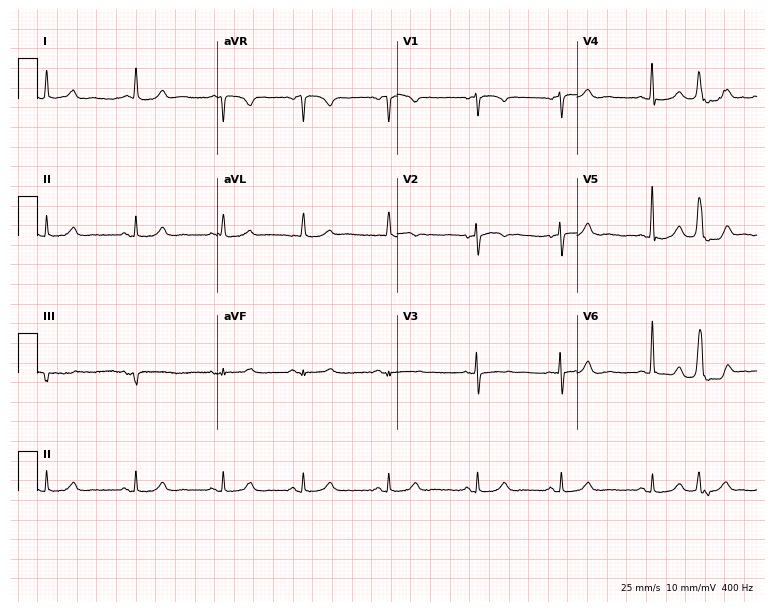
Standard 12-lead ECG recorded from a 76-year-old female patient. None of these six findings is recorded: first-degree AV block, right bundle branch block, left bundle branch block, sinus bradycardia, atrial fibrillation, sinus tachycardia.